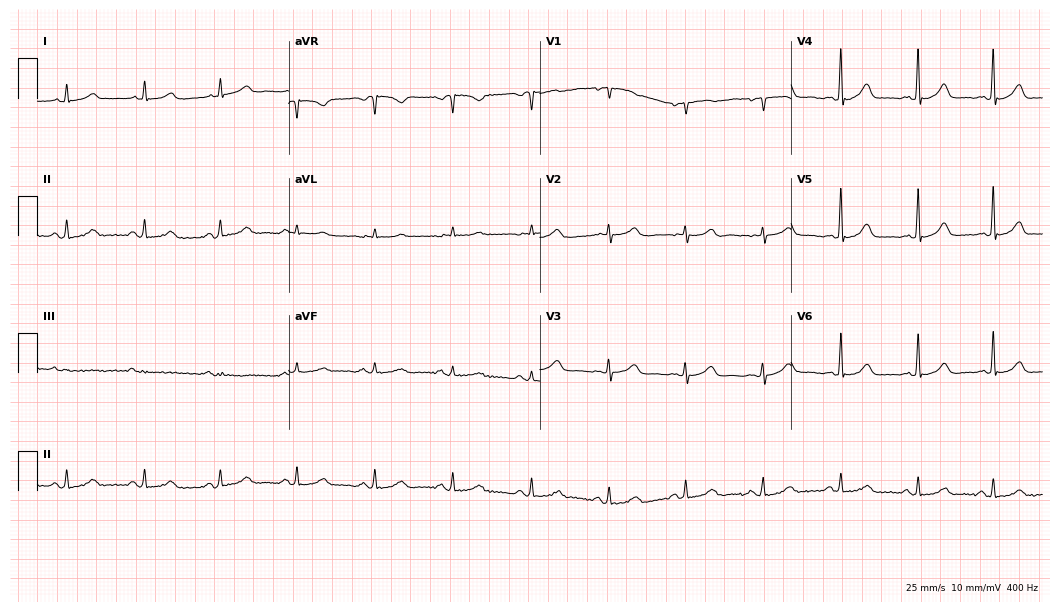
ECG — a woman, 81 years old. Labelled as a normal ECG.